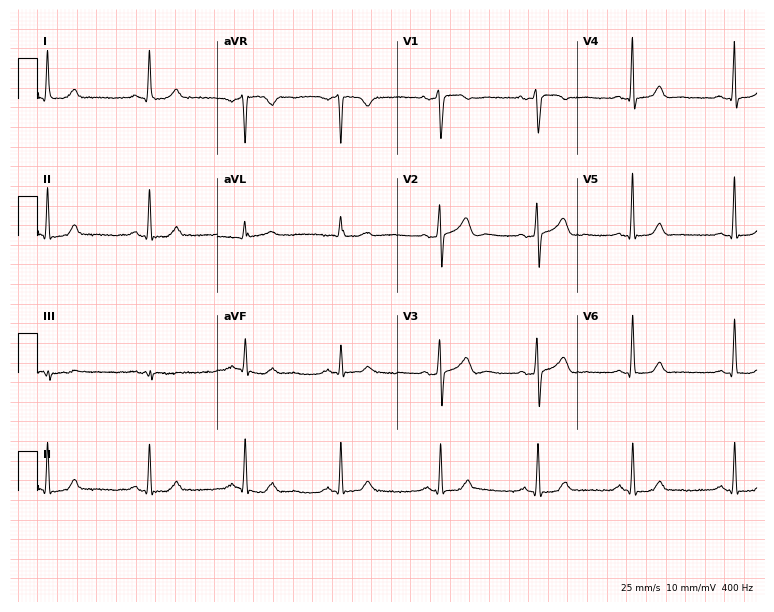
Standard 12-lead ECG recorded from a woman, 37 years old. Read as a normal ECG.